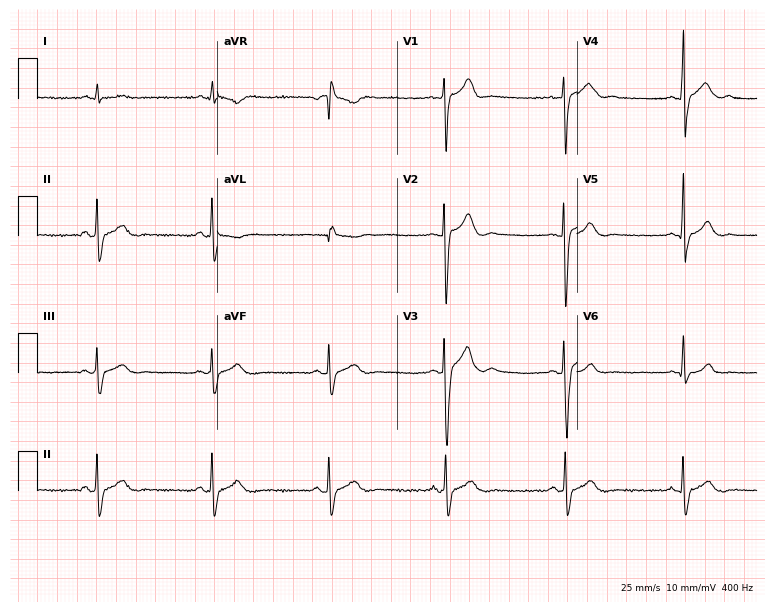
12-lead ECG from a man, 20 years old. Screened for six findings — first-degree AV block, right bundle branch block, left bundle branch block, sinus bradycardia, atrial fibrillation, sinus tachycardia — none is recorded.